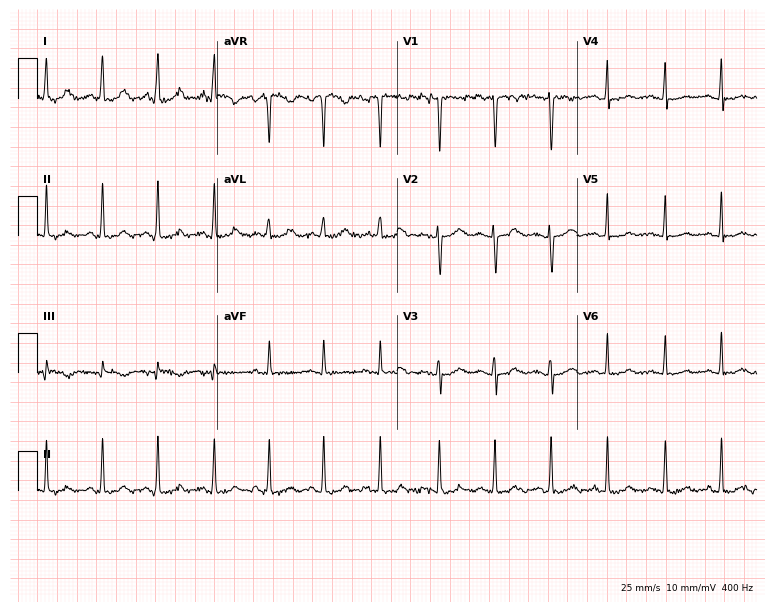
ECG (7.3-second recording at 400 Hz) — a female patient, 26 years old. Findings include sinus tachycardia (a sinus rate of 100 beats per minute or more).